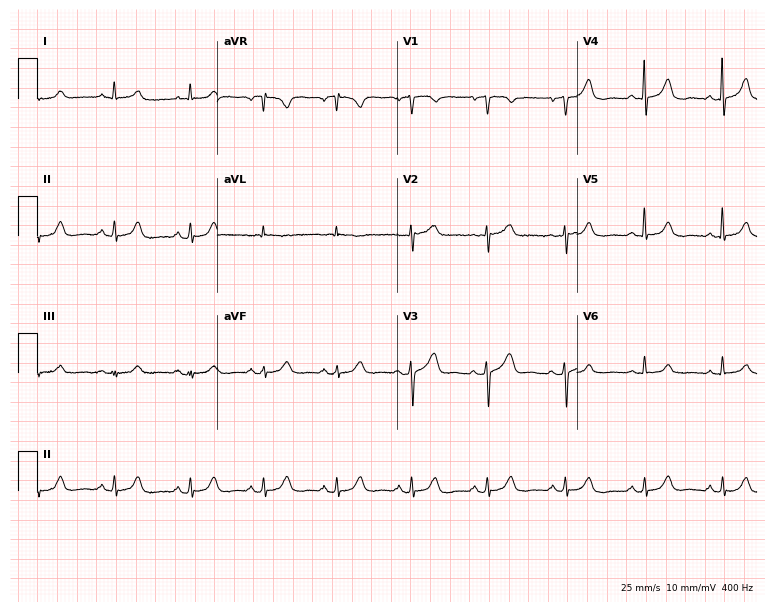
12-lead ECG (7.3-second recording at 400 Hz) from a 77-year-old female patient. Labelled as a normal ECG.